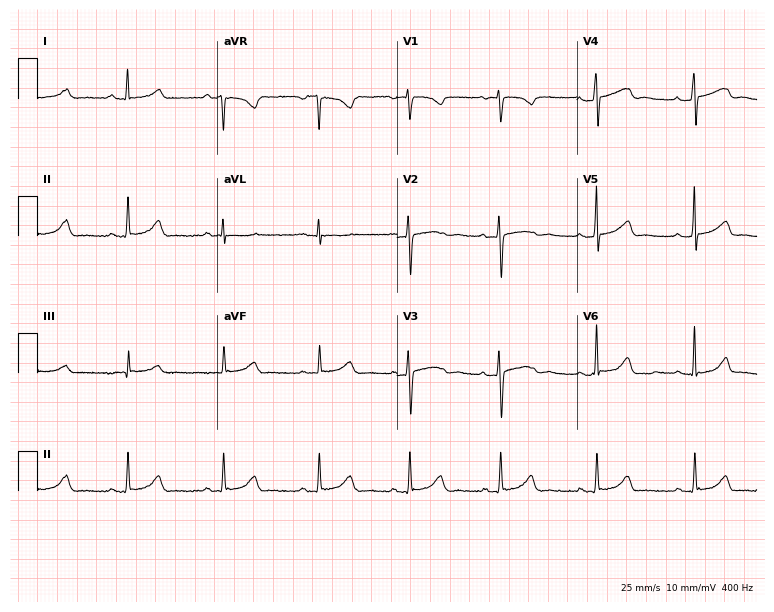
12-lead ECG from a 36-year-old female patient. Labelled as a normal ECG.